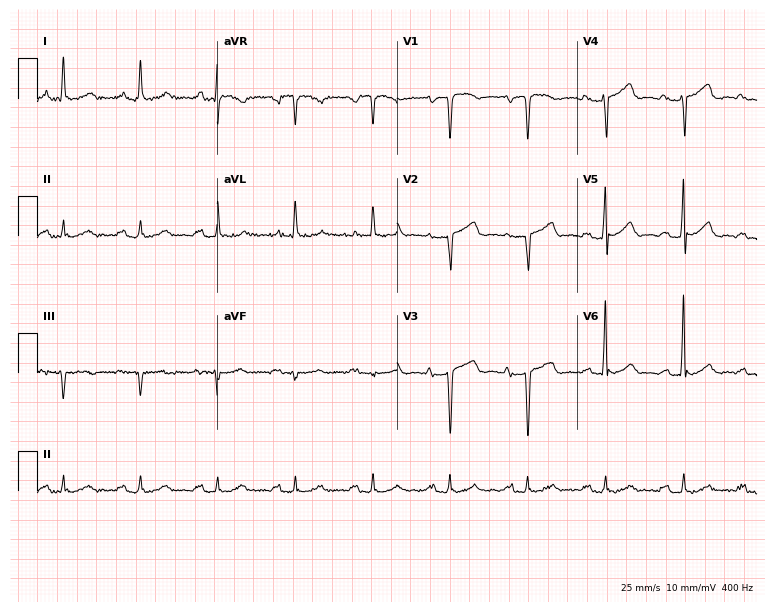
12-lead ECG (7.3-second recording at 400 Hz) from an 89-year-old male. Screened for six findings — first-degree AV block, right bundle branch block, left bundle branch block, sinus bradycardia, atrial fibrillation, sinus tachycardia — none is recorded. Only these six findings were labelled.